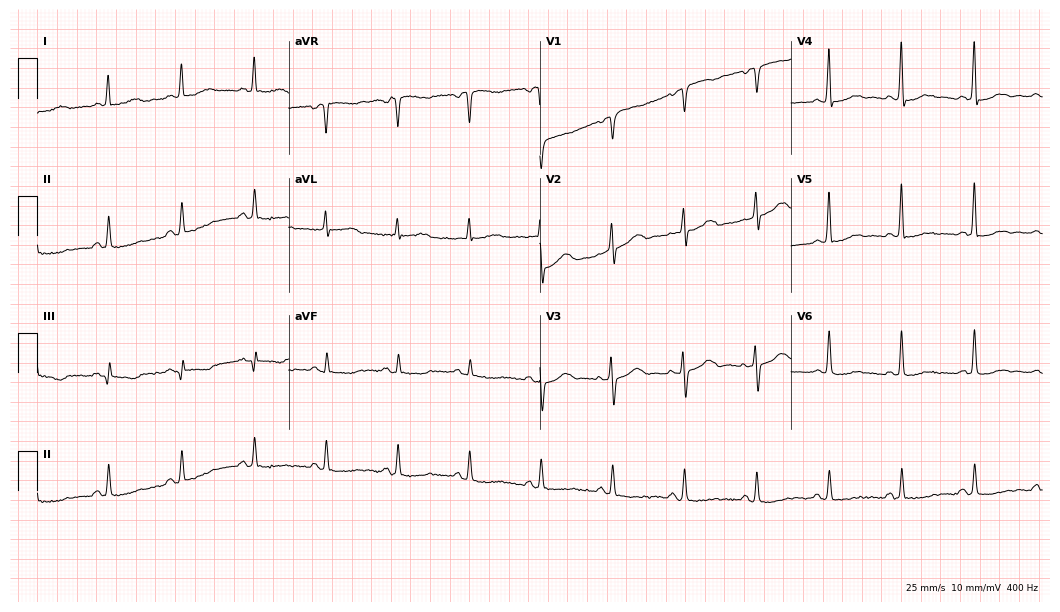
Standard 12-lead ECG recorded from a woman, 61 years old. None of these six findings is recorded: first-degree AV block, right bundle branch block, left bundle branch block, sinus bradycardia, atrial fibrillation, sinus tachycardia. Other findings, if any, are not listed.